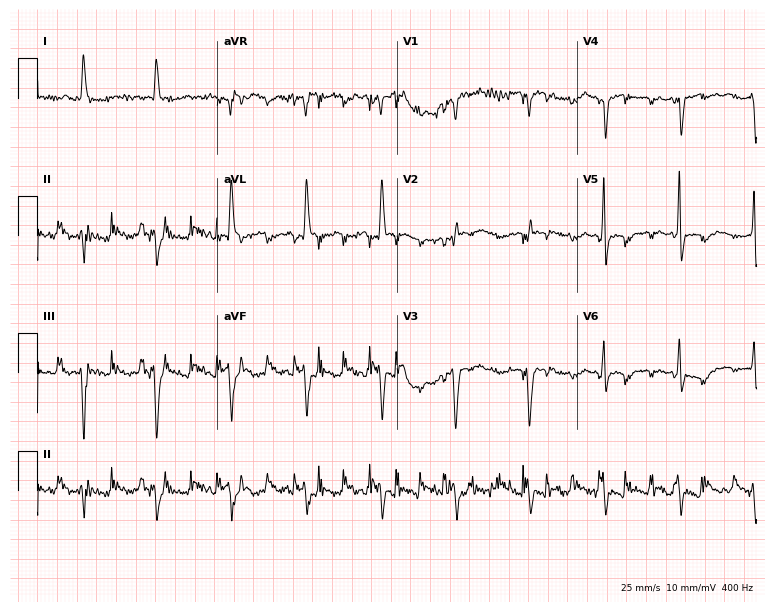
12-lead ECG from an 83-year-old female. Screened for six findings — first-degree AV block, right bundle branch block, left bundle branch block, sinus bradycardia, atrial fibrillation, sinus tachycardia — none is recorded.